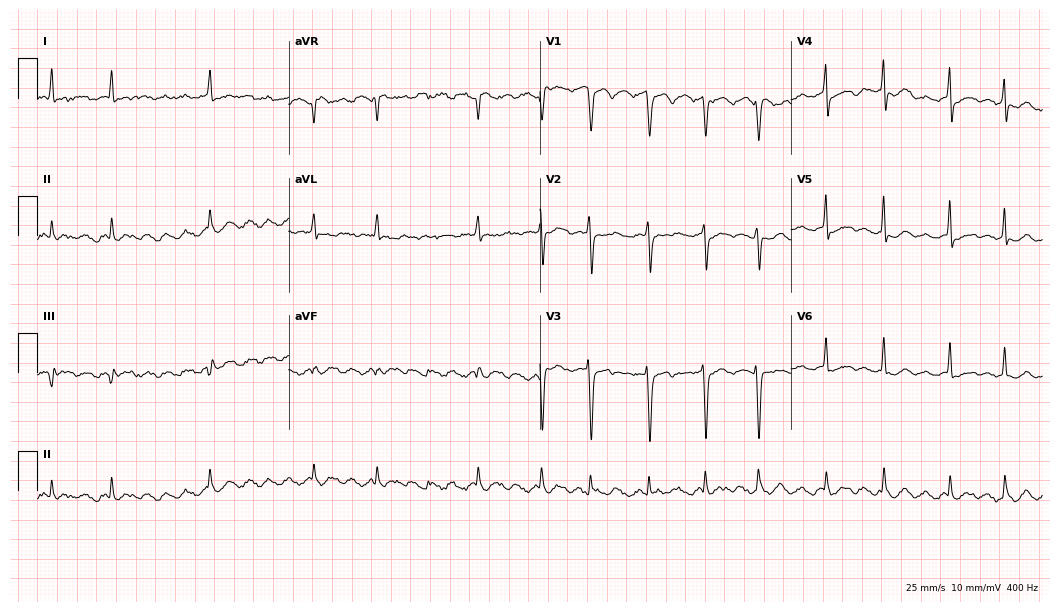
12-lead ECG from a male patient, 60 years old. No first-degree AV block, right bundle branch block, left bundle branch block, sinus bradycardia, atrial fibrillation or sinus tachycardia recorded for this tracing. Only these six findings were labelled.